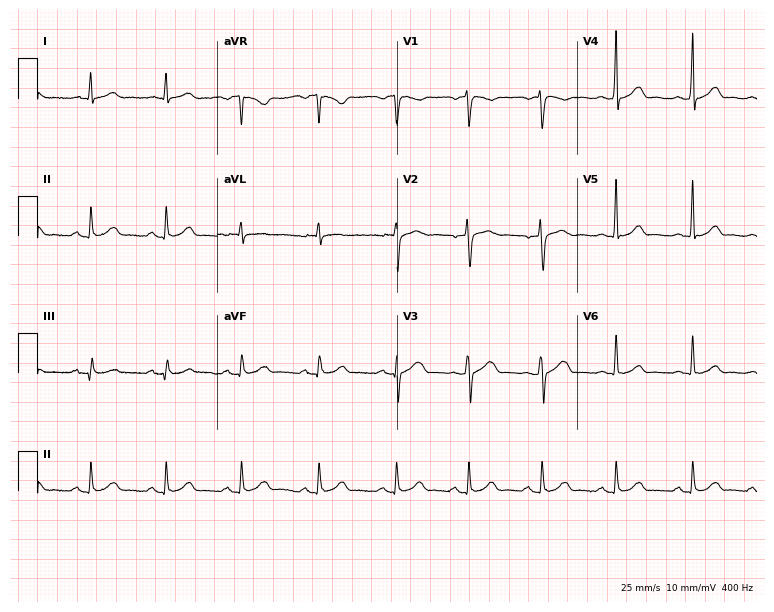
12-lead ECG from a 41-year-old man. Recorded interpretation: within normal limits.